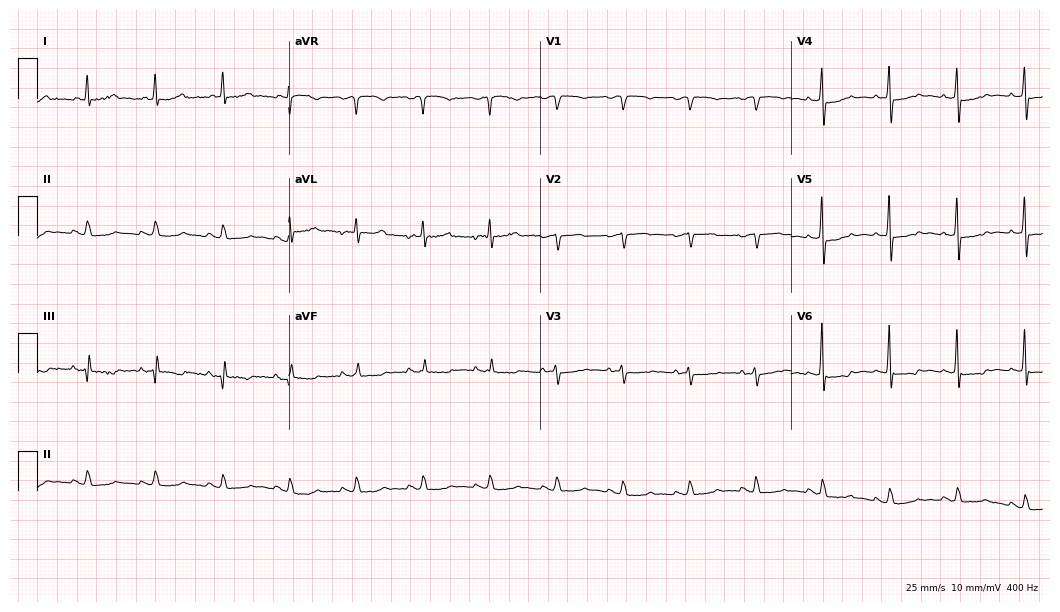
Standard 12-lead ECG recorded from an 80-year-old woman (10.2-second recording at 400 Hz). None of these six findings is recorded: first-degree AV block, right bundle branch block, left bundle branch block, sinus bradycardia, atrial fibrillation, sinus tachycardia.